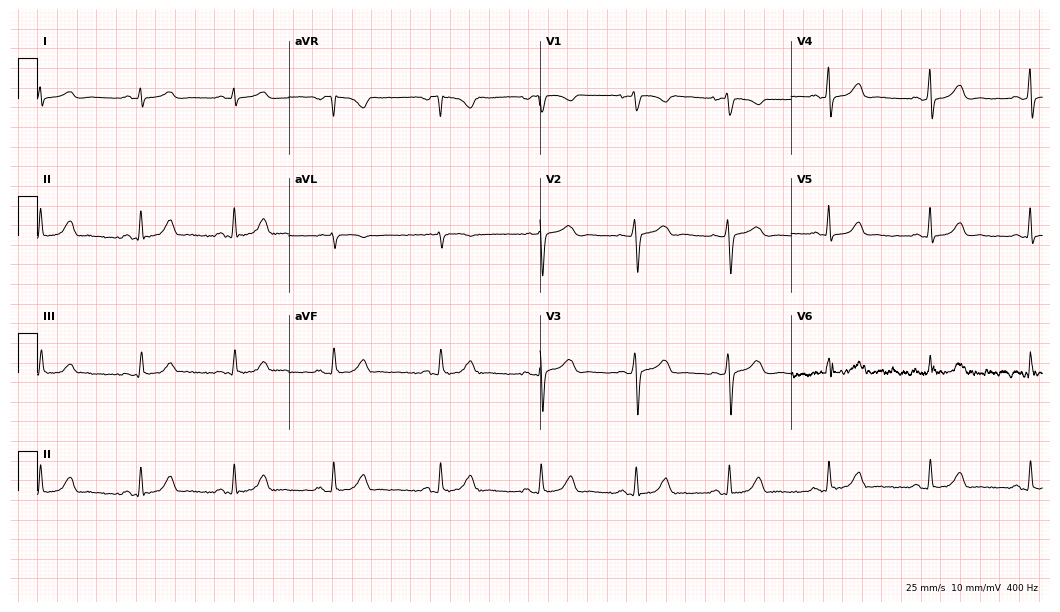
12-lead ECG from a 27-year-old female patient. Labelled as a normal ECG.